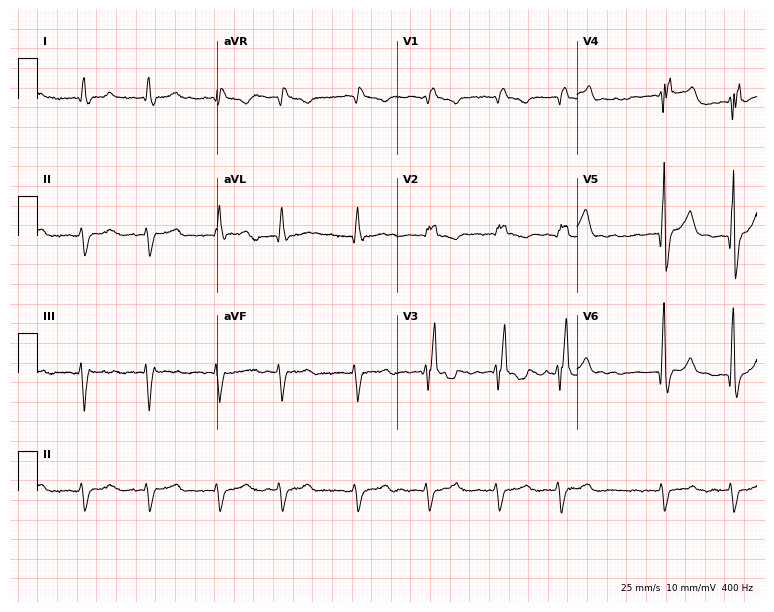
Resting 12-lead electrocardiogram (7.3-second recording at 400 Hz). Patient: a 72-year-old female. The tracing shows right bundle branch block, atrial fibrillation.